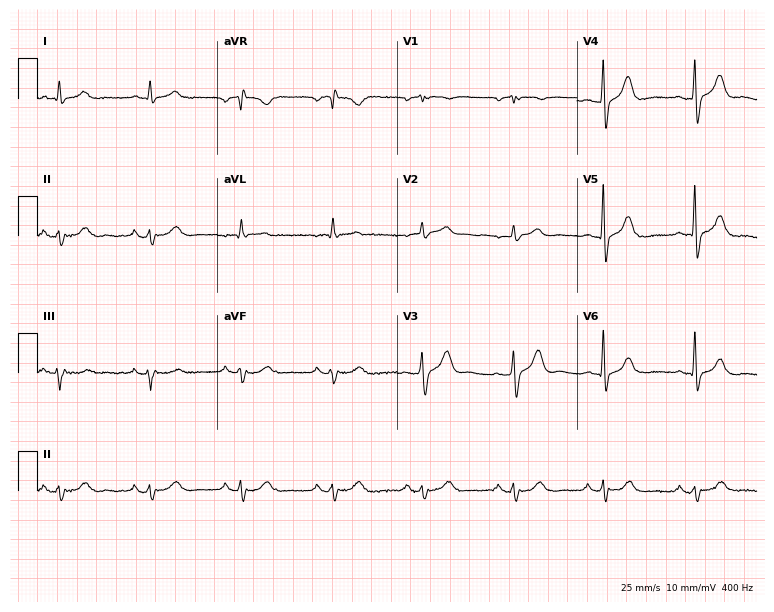
Electrocardiogram (7.3-second recording at 400 Hz), a 76-year-old male. Of the six screened findings (first-degree AV block, right bundle branch block, left bundle branch block, sinus bradycardia, atrial fibrillation, sinus tachycardia), none is recorded. Only these six findings were labelled.